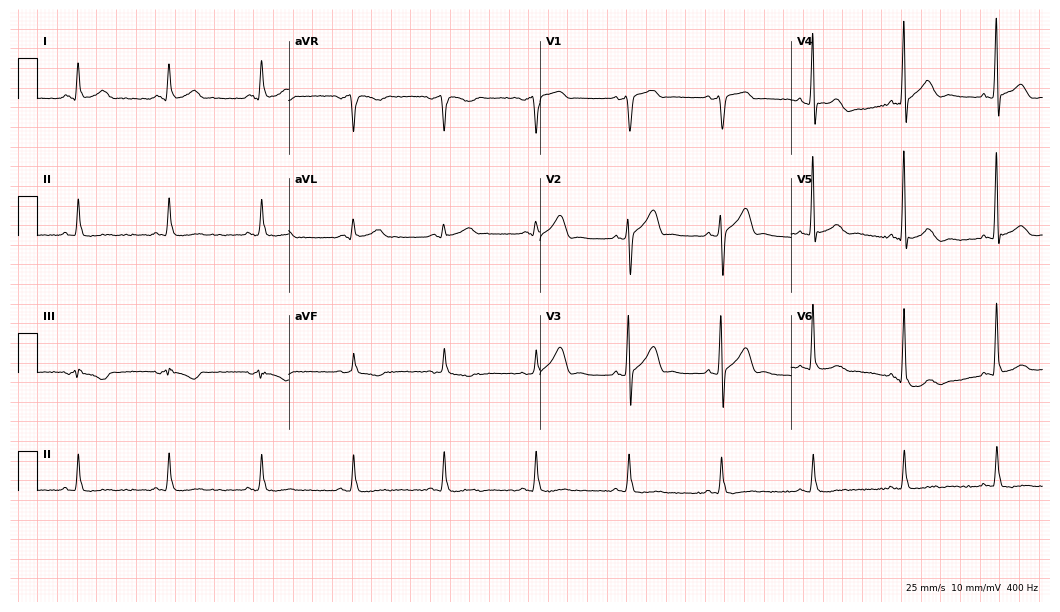
Standard 12-lead ECG recorded from a male patient, 72 years old. None of these six findings is recorded: first-degree AV block, right bundle branch block, left bundle branch block, sinus bradycardia, atrial fibrillation, sinus tachycardia. Other findings, if any, are not listed.